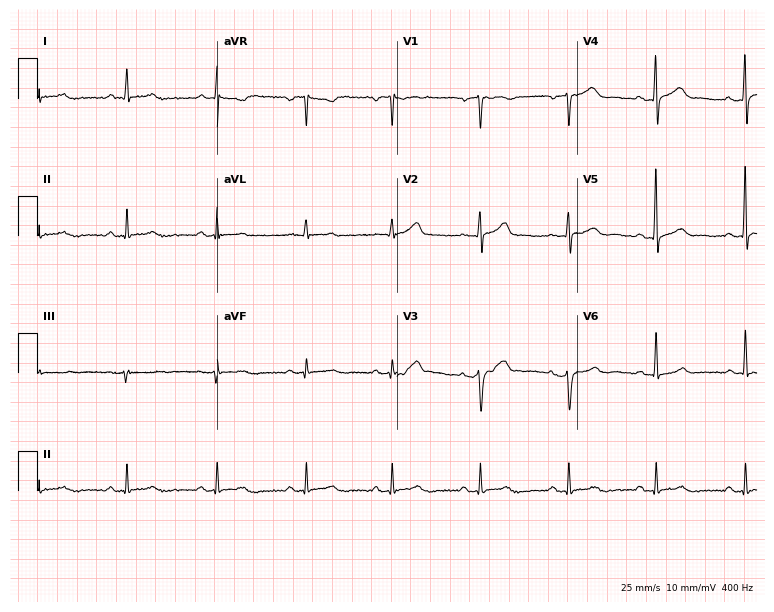
Resting 12-lead electrocardiogram. Patient: a male, 69 years old. Read as a normal ECG.